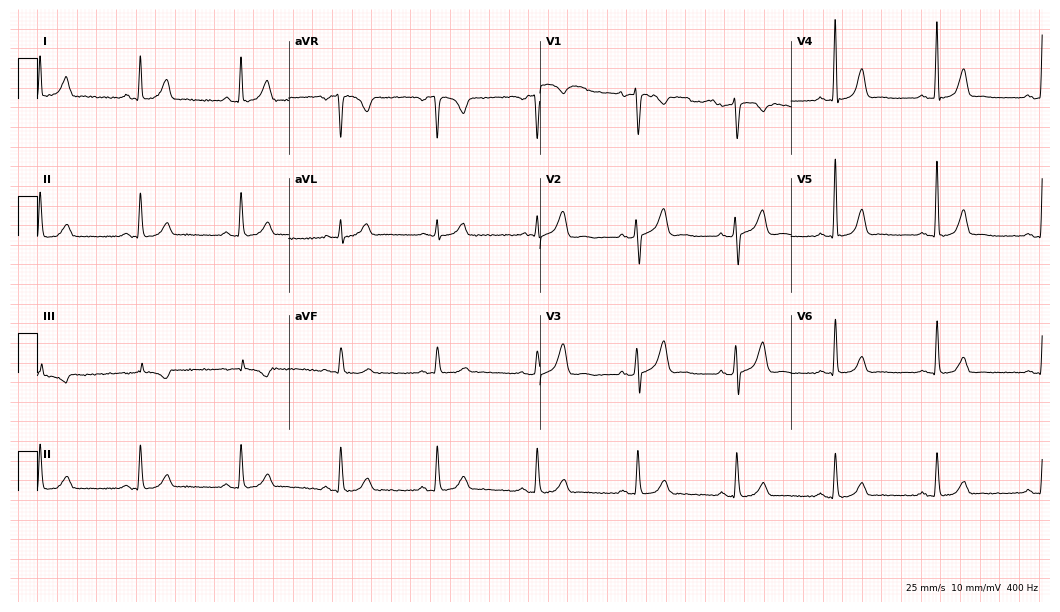
Standard 12-lead ECG recorded from a female, 49 years old (10.2-second recording at 400 Hz). Read as a normal ECG.